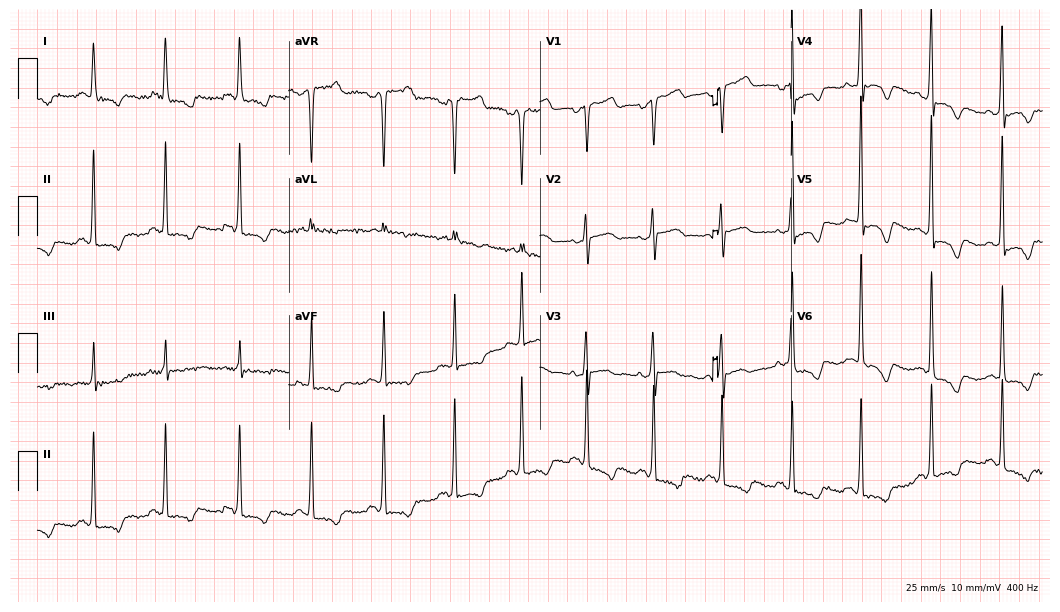
Electrocardiogram (10.2-second recording at 400 Hz), a 68-year-old female patient. Of the six screened findings (first-degree AV block, right bundle branch block, left bundle branch block, sinus bradycardia, atrial fibrillation, sinus tachycardia), none is recorded. Findings outside these six are not listed.